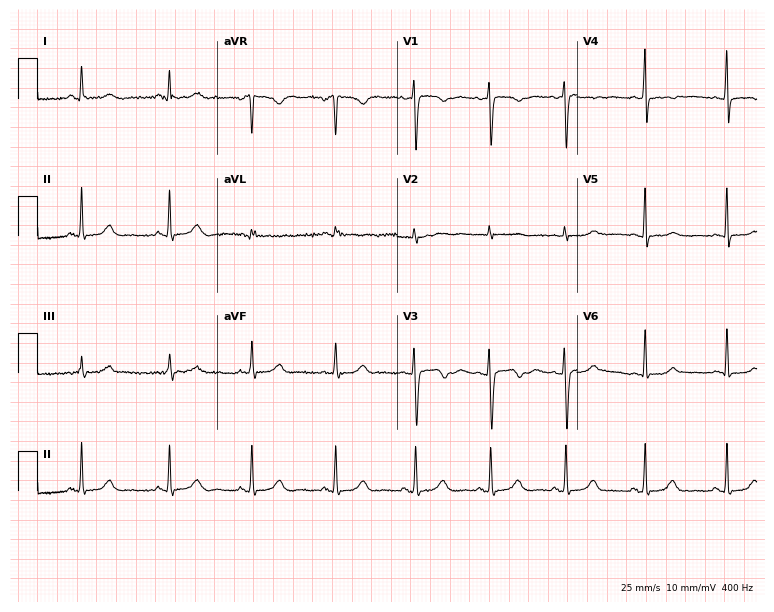
ECG (7.3-second recording at 400 Hz) — a 31-year-old female patient. Labelled as a normal ECG.